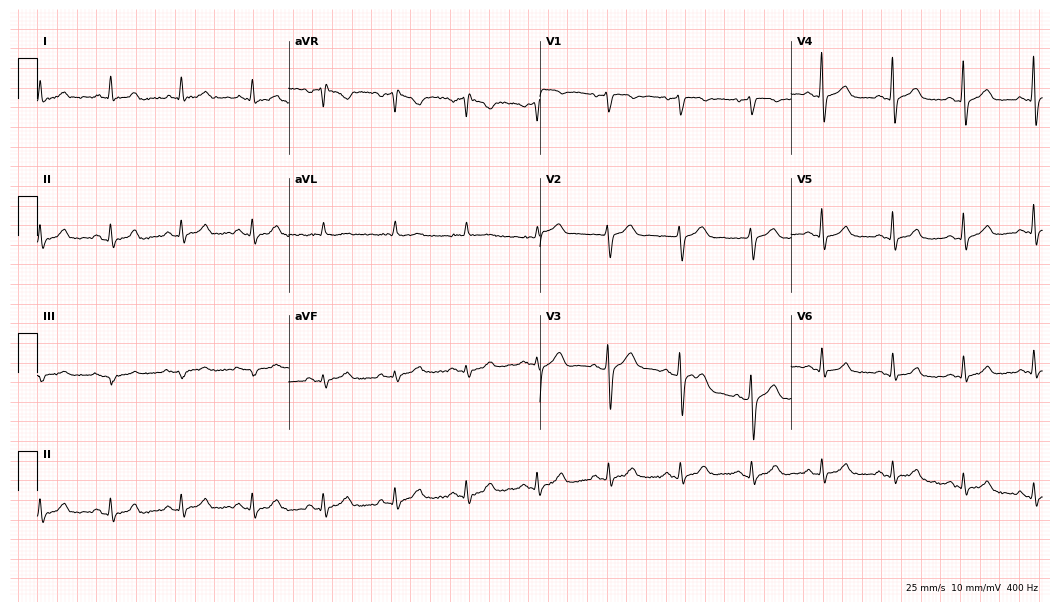
Standard 12-lead ECG recorded from a male patient, 57 years old. None of these six findings is recorded: first-degree AV block, right bundle branch block, left bundle branch block, sinus bradycardia, atrial fibrillation, sinus tachycardia. Other findings, if any, are not listed.